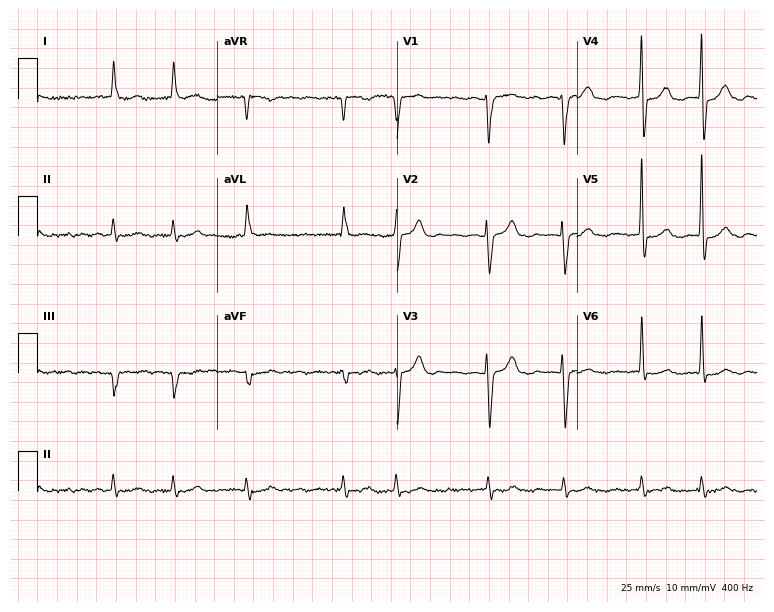
Standard 12-lead ECG recorded from a woman, 81 years old. The tracing shows atrial fibrillation.